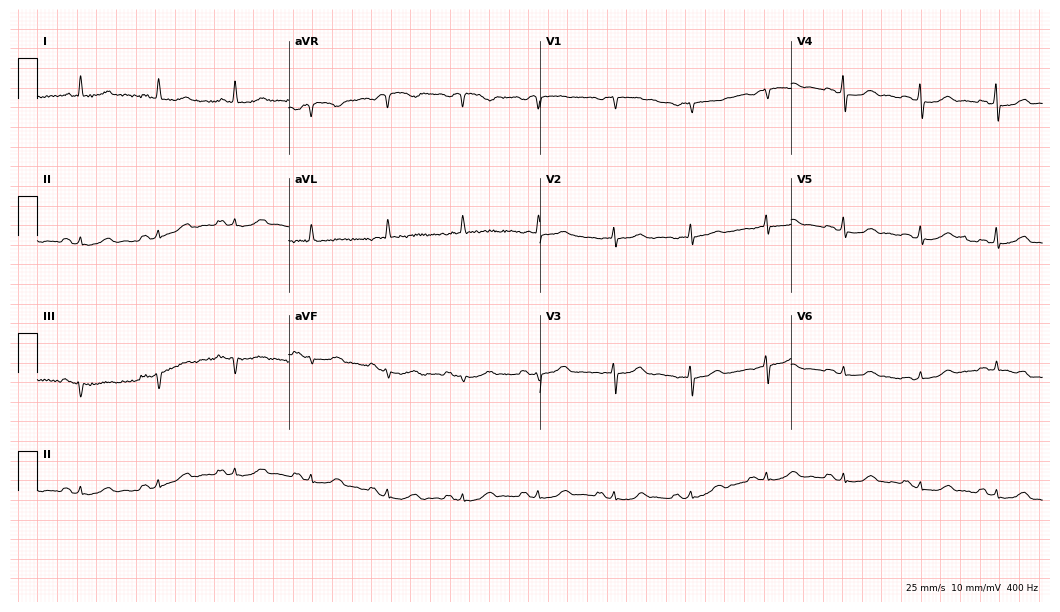
ECG — a woman, 82 years old. Labelled as a normal ECG.